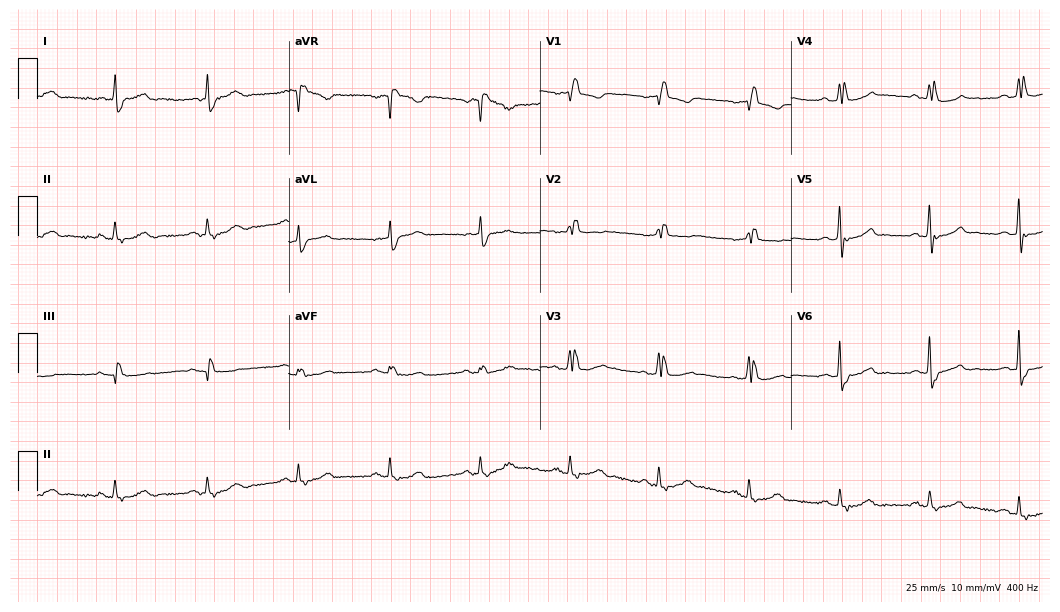
12-lead ECG from an 81-year-old male. Findings include right bundle branch block.